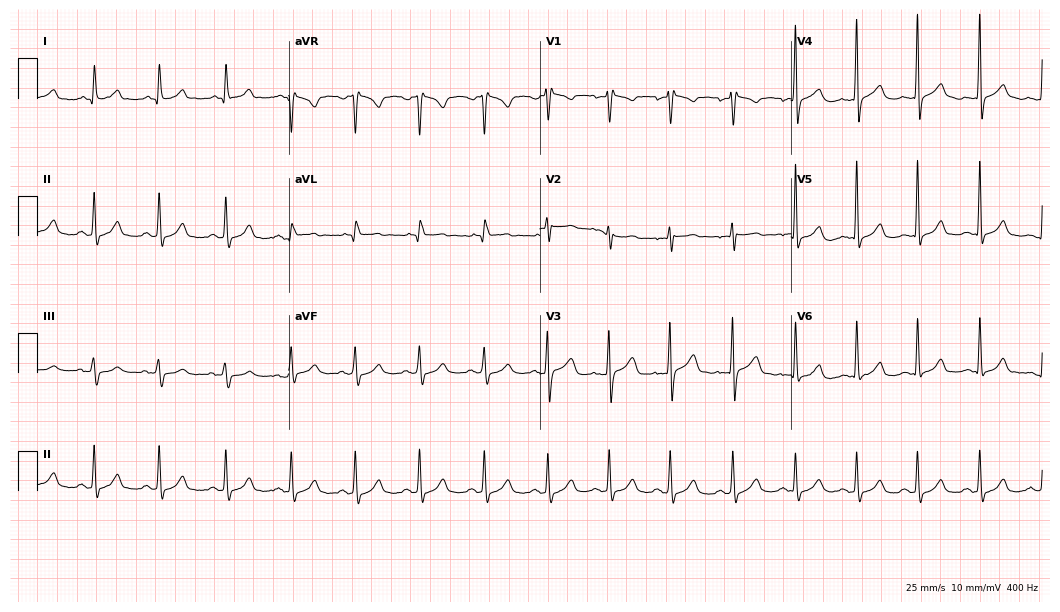
Standard 12-lead ECG recorded from a female patient, 38 years old. Read as a normal ECG.